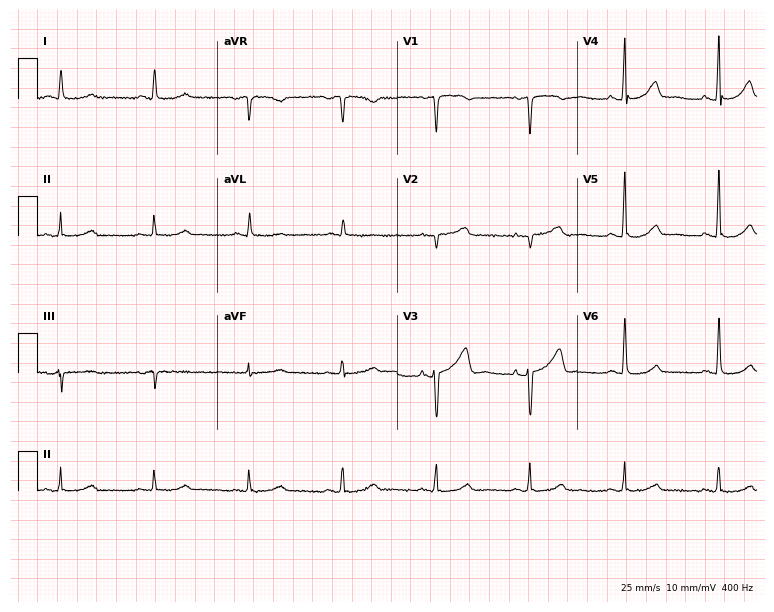
ECG — a female, 48 years old. Labelled as a normal ECG.